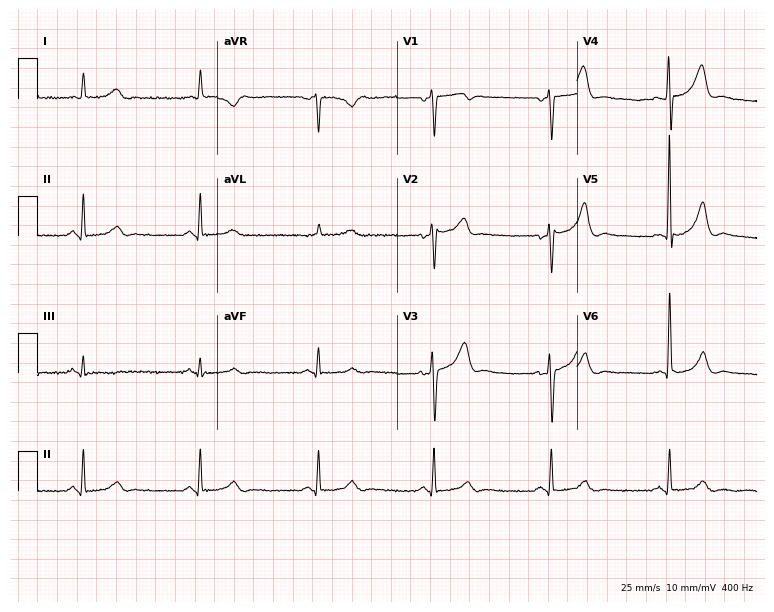
Resting 12-lead electrocardiogram (7.3-second recording at 400 Hz). Patient: a 66-year-old male. None of these six findings is recorded: first-degree AV block, right bundle branch block, left bundle branch block, sinus bradycardia, atrial fibrillation, sinus tachycardia. Findings outside these six are not listed.